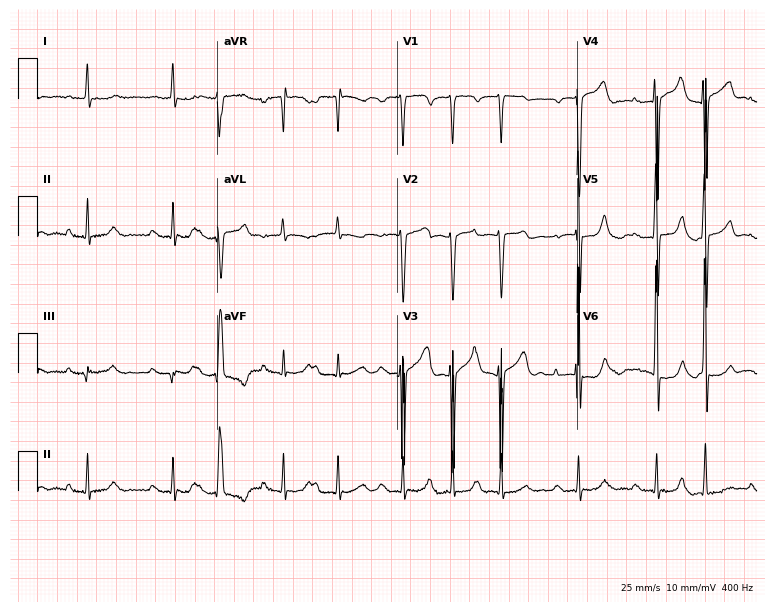
Resting 12-lead electrocardiogram. Patient: an 80-year-old male. The tracing shows first-degree AV block.